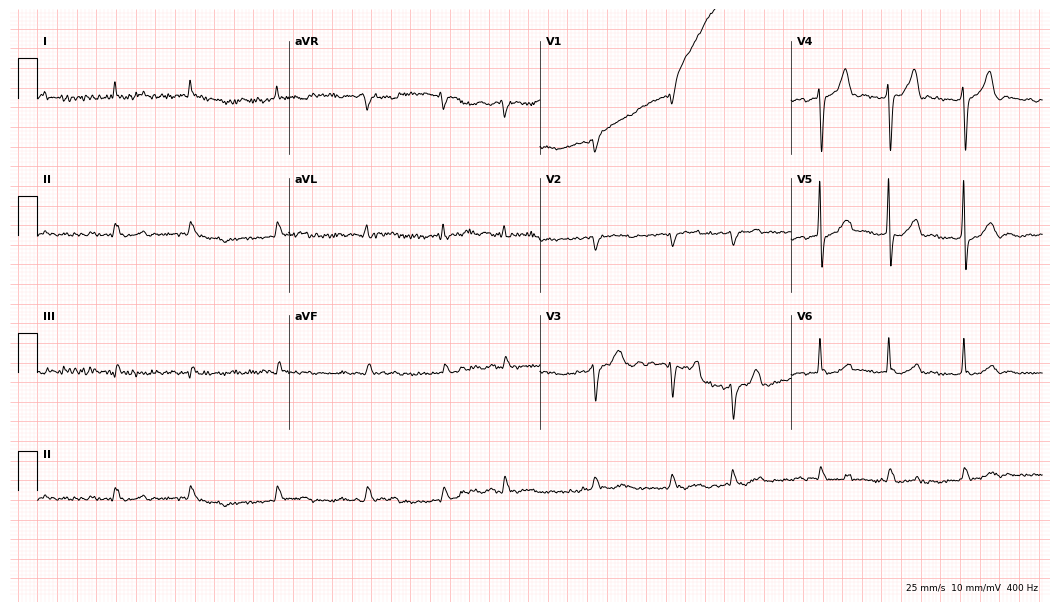
ECG (10.2-second recording at 400 Hz) — a man, 85 years old. Findings include atrial fibrillation.